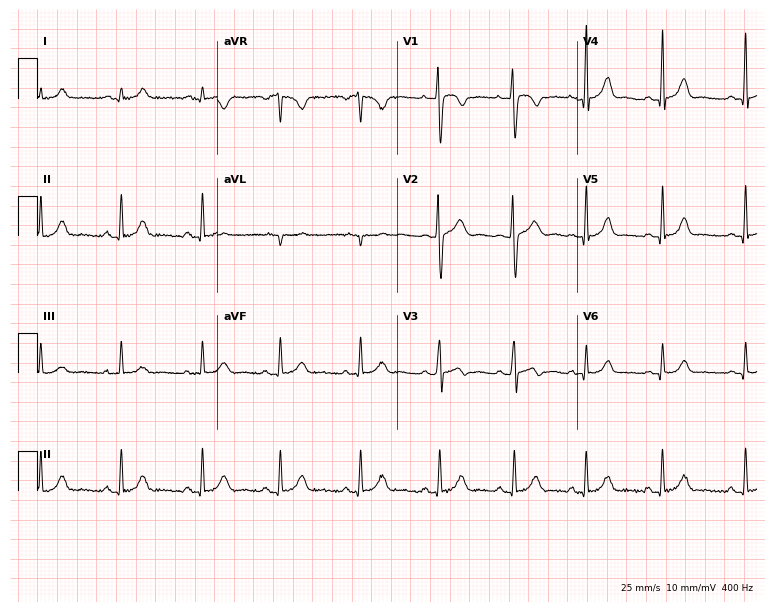
12-lead ECG (7.3-second recording at 400 Hz) from a female patient, 25 years old. Labelled as a normal ECG.